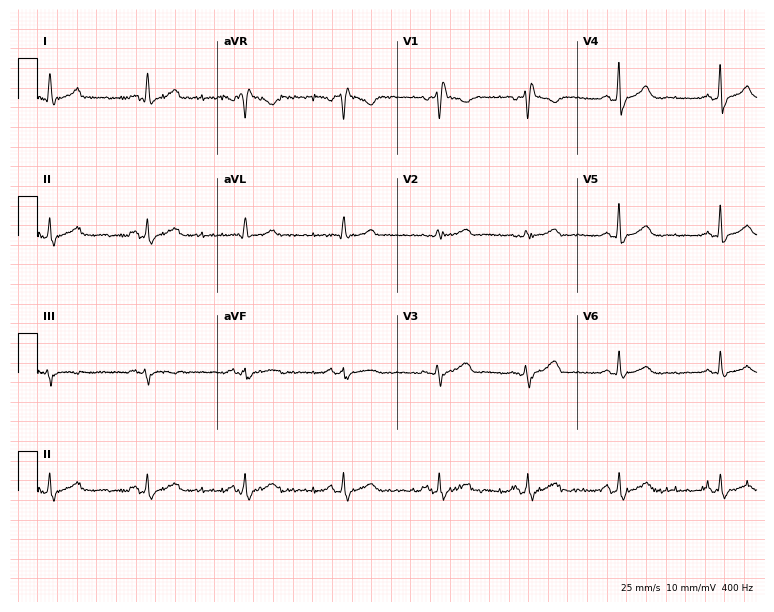
Electrocardiogram, a 62-year-old female. Interpretation includes right bundle branch block.